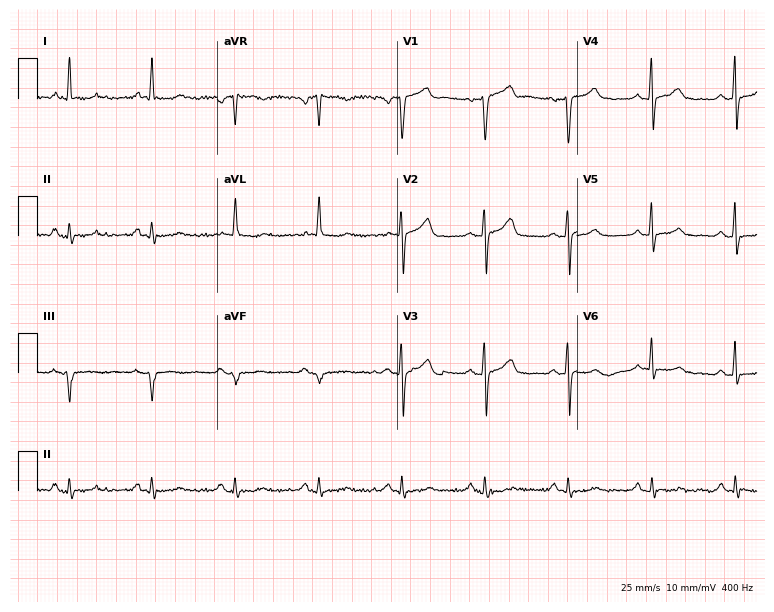
12-lead ECG from a 68-year-old man (7.3-second recording at 400 Hz). Recorded interpretation: within normal limits.